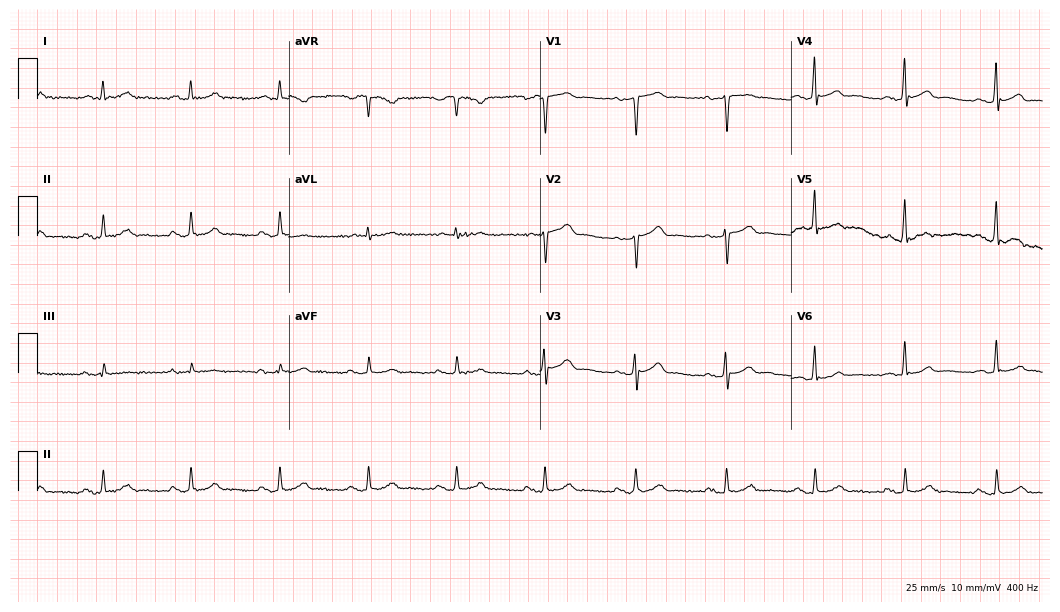
12-lead ECG (10.2-second recording at 400 Hz) from a 64-year-old male. Labelled as a normal ECG.